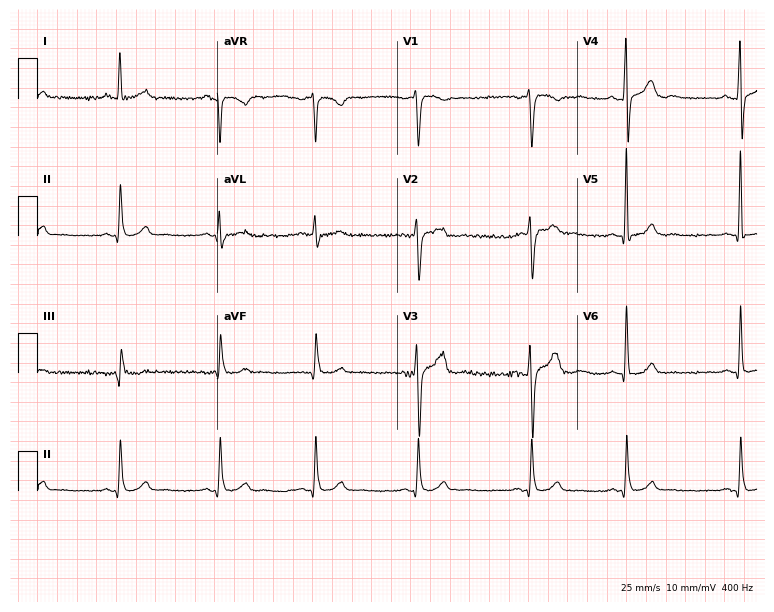
Electrocardiogram, a male patient, 56 years old. Overall reading on record: normal ECG.